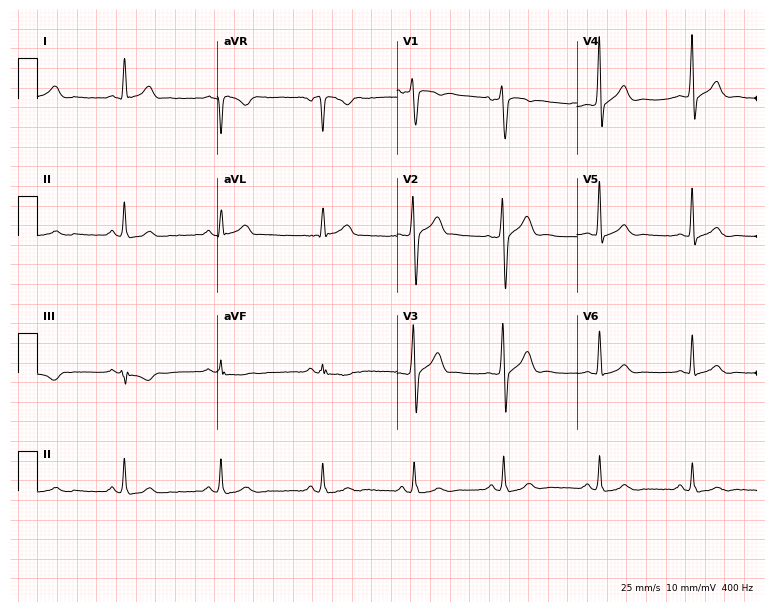
12-lead ECG from a 61-year-old male (7.3-second recording at 400 Hz). No first-degree AV block, right bundle branch block, left bundle branch block, sinus bradycardia, atrial fibrillation or sinus tachycardia recorded for this tracing.